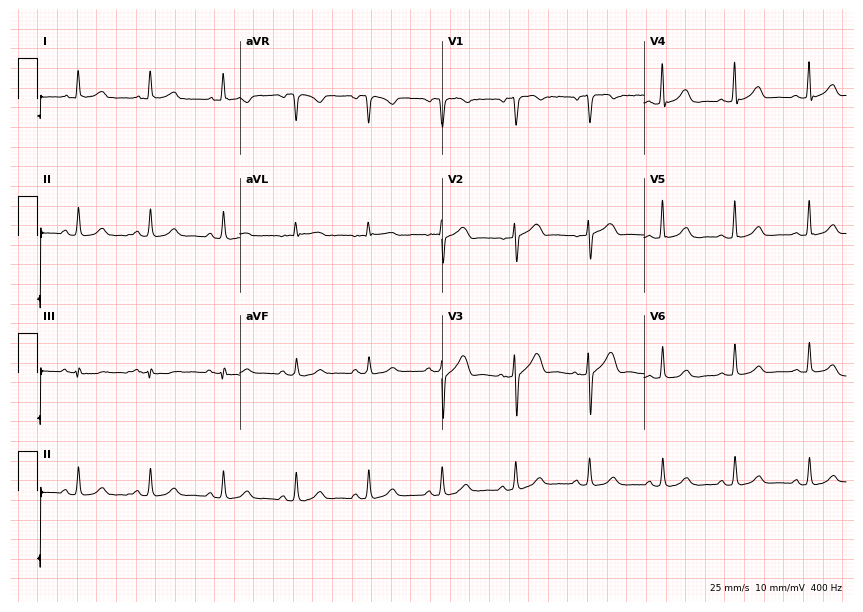
12-lead ECG from a male patient, 51 years old (8.2-second recording at 400 Hz). Recorded interpretation: within normal limits.